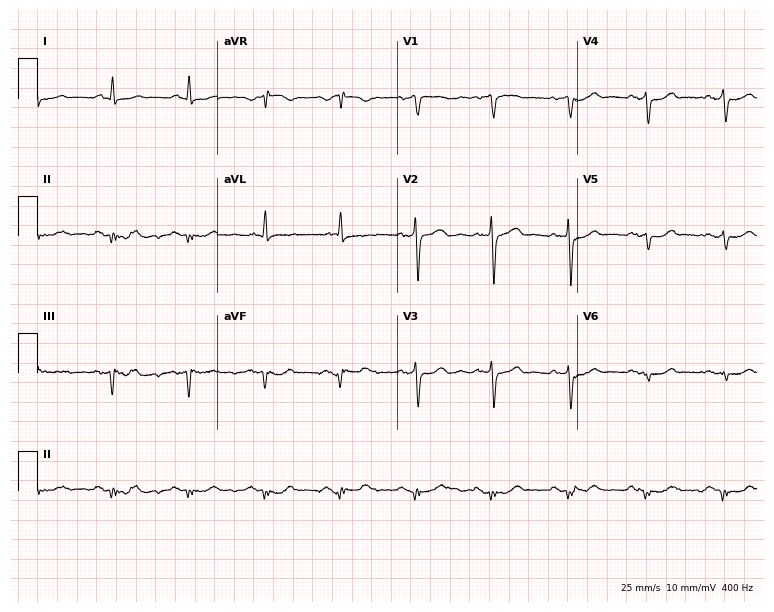
12-lead ECG from a 66-year-old man. Screened for six findings — first-degree AV block, right bundle branch block, left bundle branch block, sinus bradycardia, atrial fibrillation, sinus tachycardia — none is recorded.